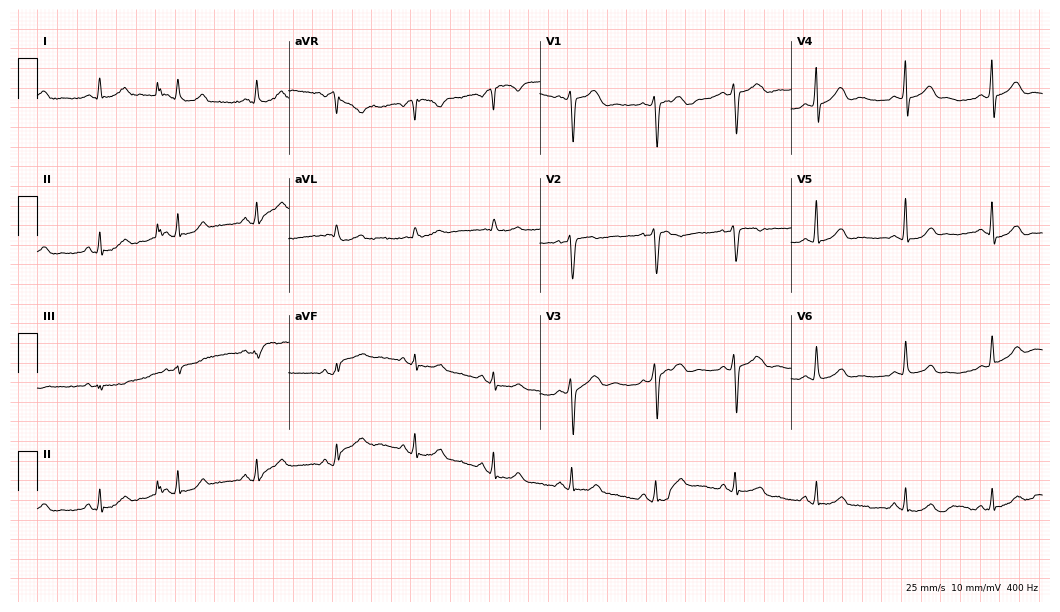
ECG — a male, 57 years old. Labelled as a normal ECG.